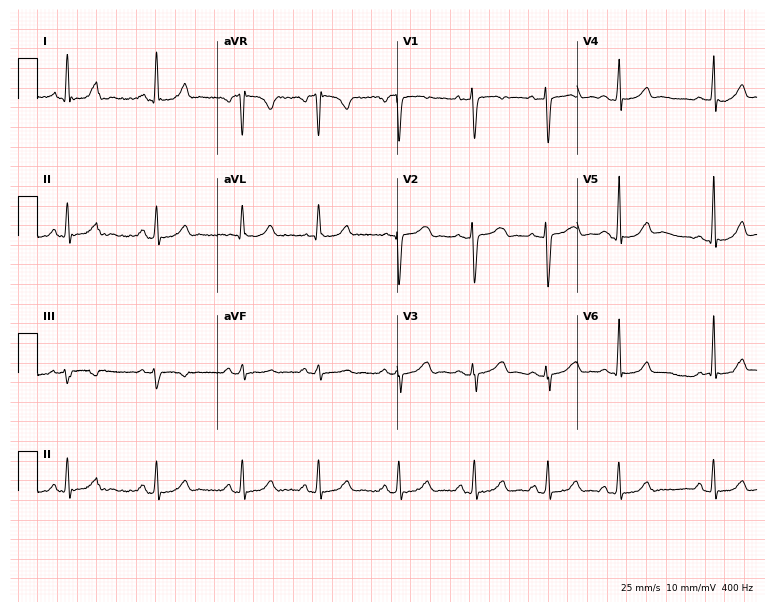
Electrocardiogram (7.3-second recording at 400 Hz), a female, 17 years old. Overall reading on record: normal ECG.